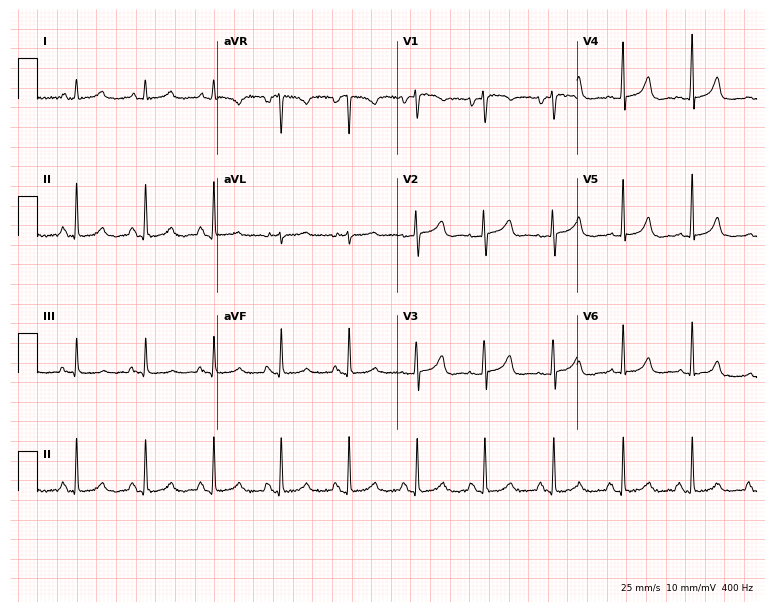
12-lead ECG from a woman, 51 years old (7.3-second recording at 400 Hz). No first-degree AV block, right bundle branch block (RBBB), left bundle branch block (LBBB), sinus bradycardia, atrial fibrillation (AF) or sinus tachycardia recorded for this tracing. Findings outside these six are not listed.